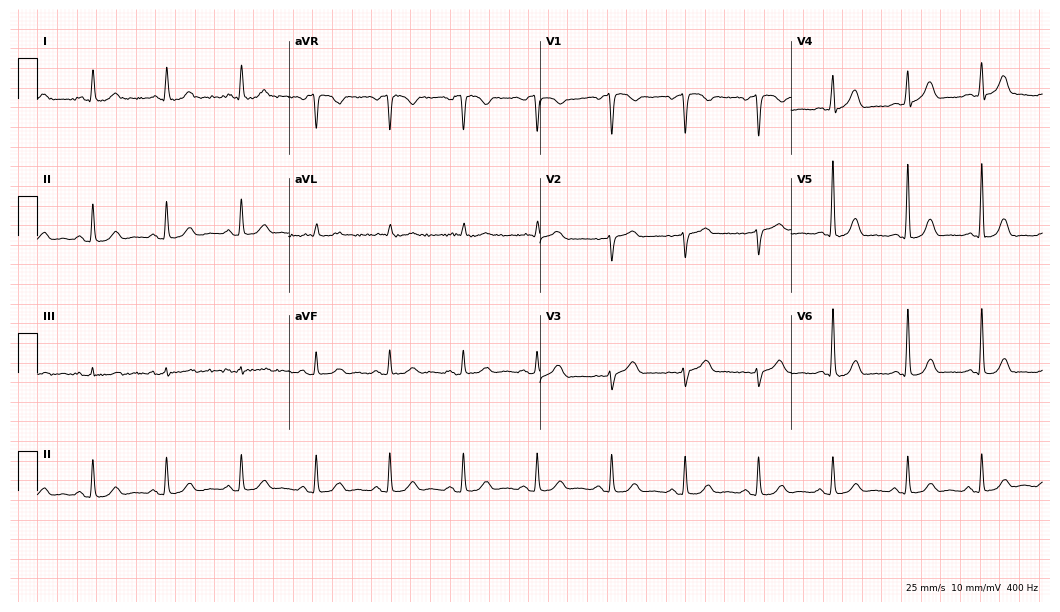
12-lead ECG from a female patient, 49 years old (10.2-second recording at 400 Hz). Recorded interpretation: within normal limits.